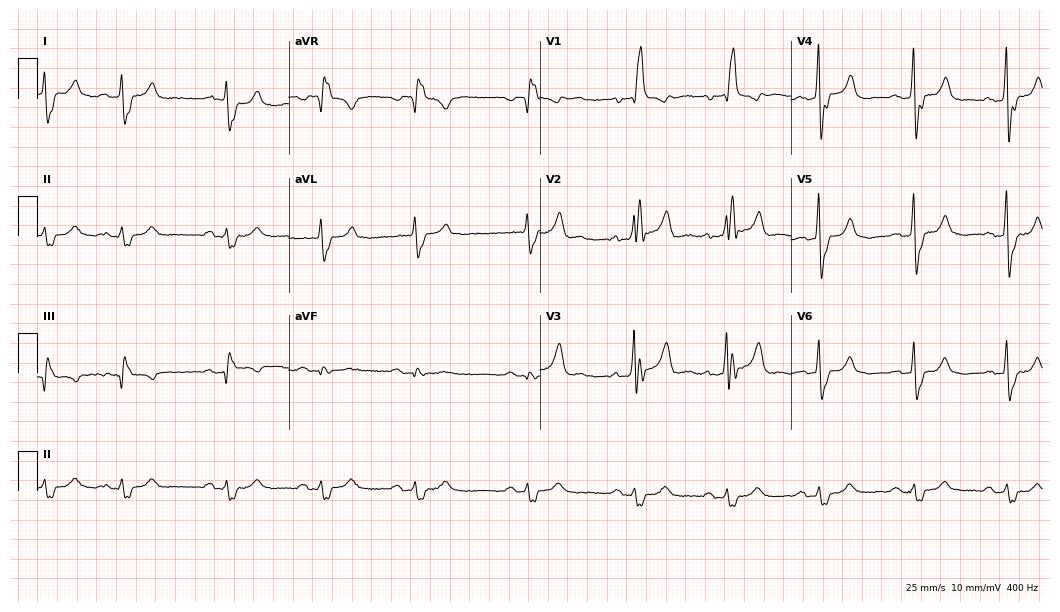
Standard 12-lead ECG recorded from a 77-year-old male patient. The tracing shows right bundle branch block (RBBB).